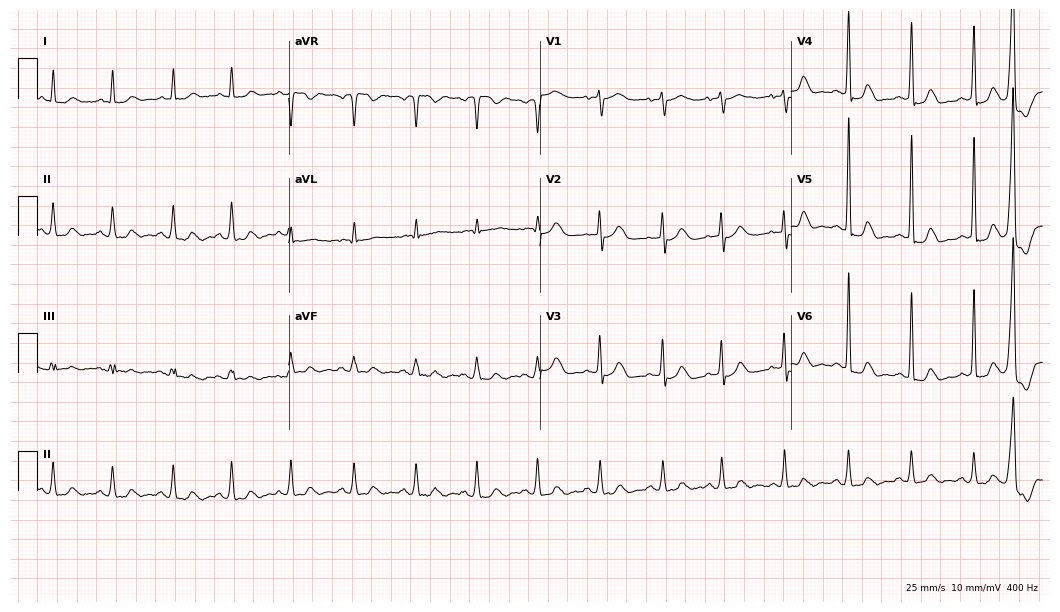
12-lead ECG (10.2-second recording at 400 Hz) from a female, 77 years old. Screened for six findings — first-degree AV block, right bundle branch block, left bundle branch block, sinus bradycardia, atrial fibrillation, sinus tachycardia — none is recorded. Findings outside these six are not listed.